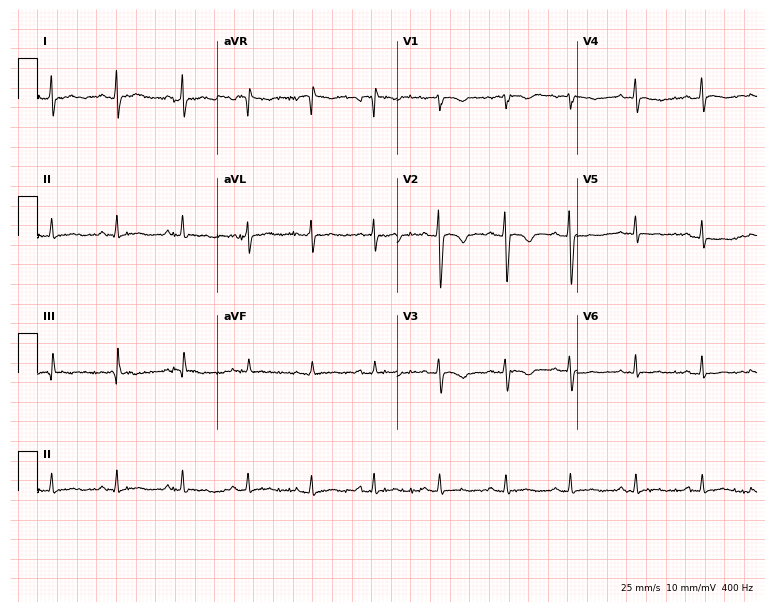
Electrocardiogram, a woman, 17 years old. Of the six screened findings (first-degree AV block, right bundle branch block (RBBB), left bundle branch block (LBBB), sinus bradycardia, atrial fibrillation (AF), sinus tachycardia), none is recorded.